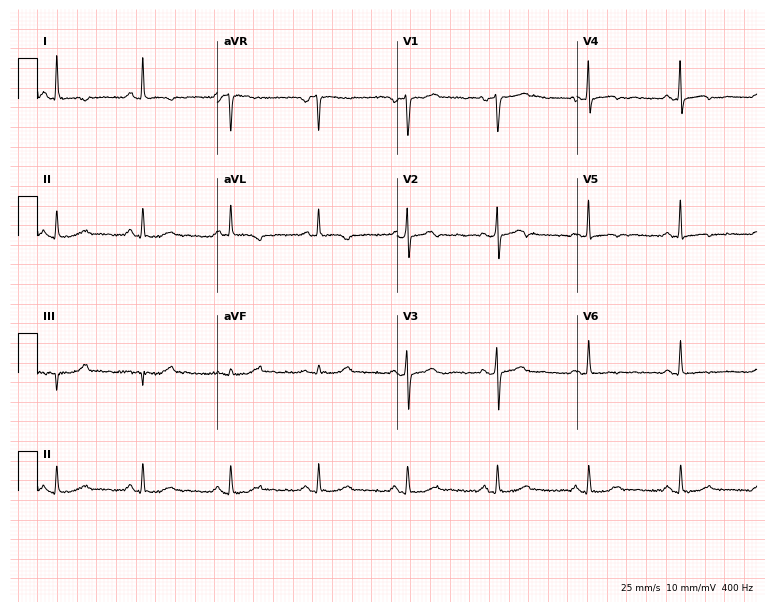
Resting 12-lead electrocardiogram (7.3-second recording at 400 Hz). Patient: a woman, 39 years old. None of these six findings is recorded: first-degree AV block, right bundle branch block, left bundle branch block, sinus bradycardia, atrial fibrillation, sinus tachycardia. Other findings, if any, are not listed.